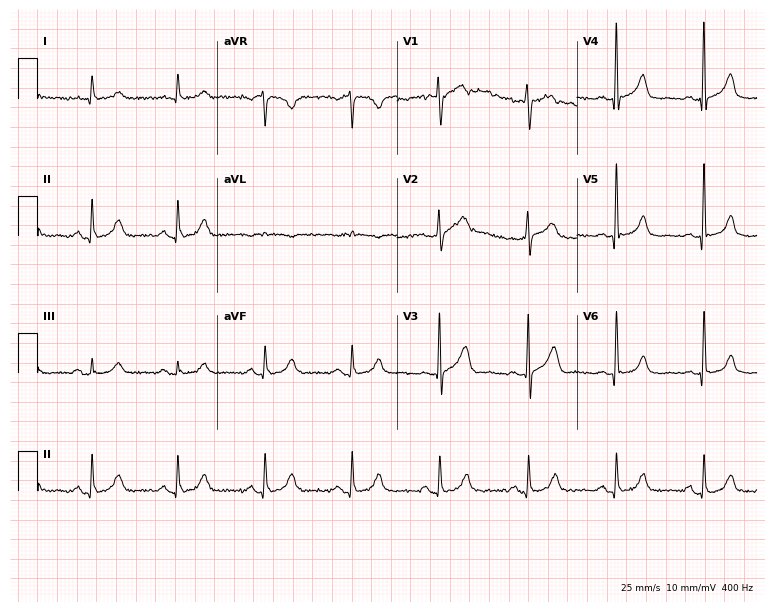
Standard 12-lead ECG recorded from a 64-year-old male (7.3-second recording at 400 Hz). Read as a normal ECG.